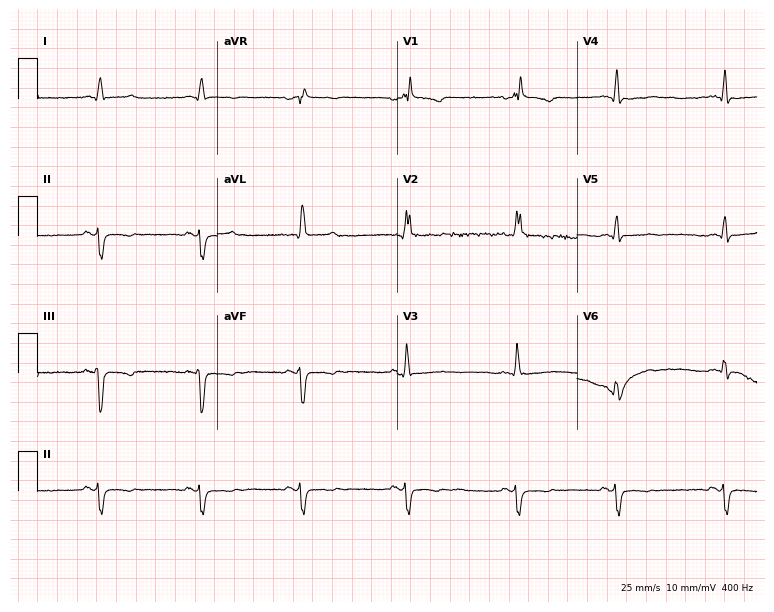
Standard 12-lead ECG recorded from a woman, 44 years old. None of these six findings is recorded: first-degree AV block, right bundle branch block, left bundle branch block, sinus bradycardia, atrial fibrillation, sinus tachycardia.